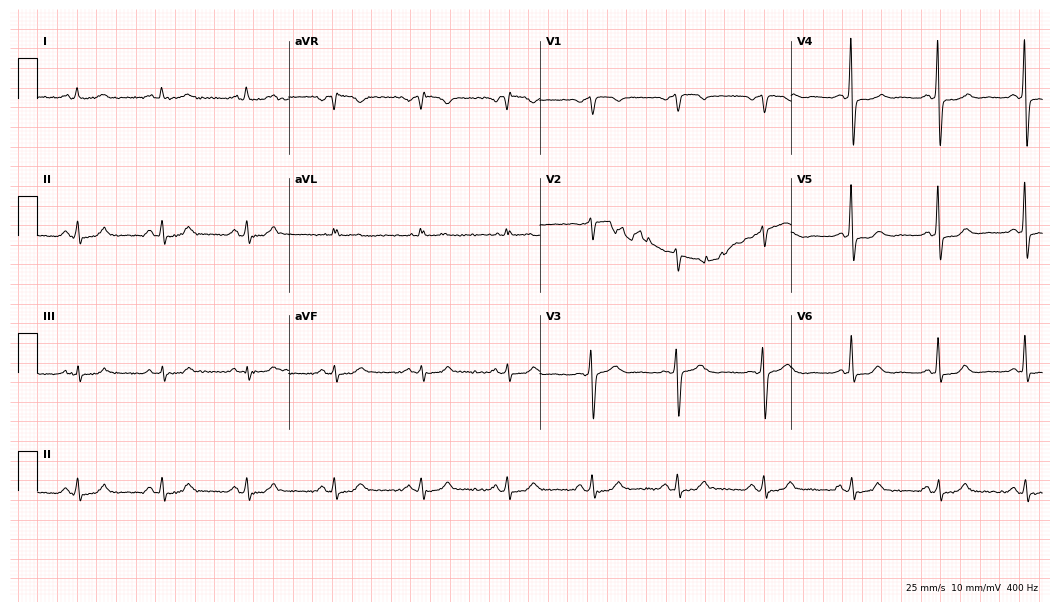
12-lead ECG from a 55-year-old male. Recorded interpretation: within normal limits.